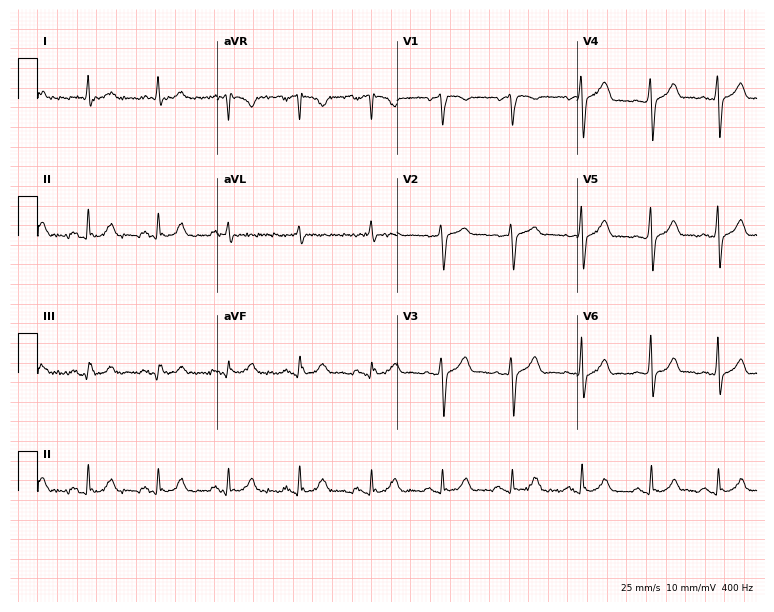
12-lead ECG from a 69-year-old male patient (7.3-second recording at 400 Hz). No first-degree AV block, right bundle branch block (RBBB), left bundle branch block (LBBB), sinus bradycardia, atrial fibrillation (AF) or sinus tachycardia recorded for this tracing.